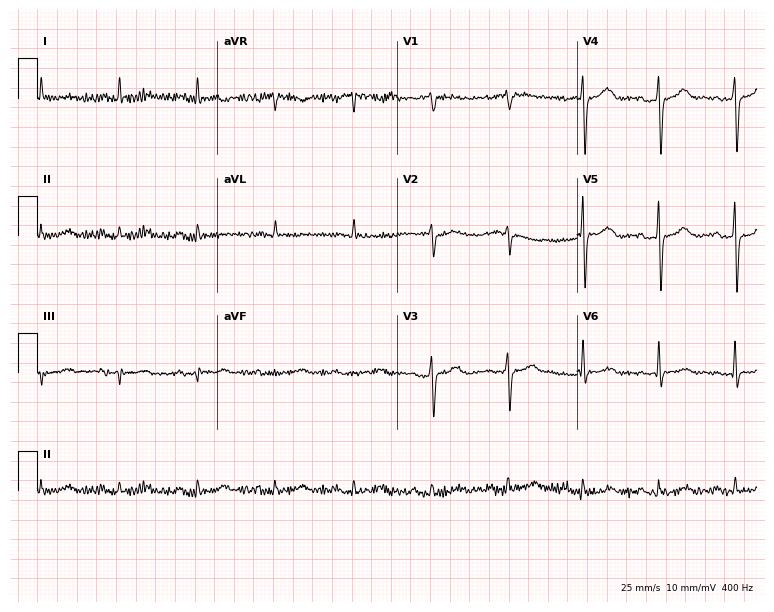
12-lead ECG (7.3-second recording at 400 Hz) from a 65-year-old woman. Screened for six findings — first-degree AV block, right bundle branch block, left bundle branch block, sinus bradycardia, atrial fibrillation, sinus tachycardia — none is recorded. Only these six findings were labelled.